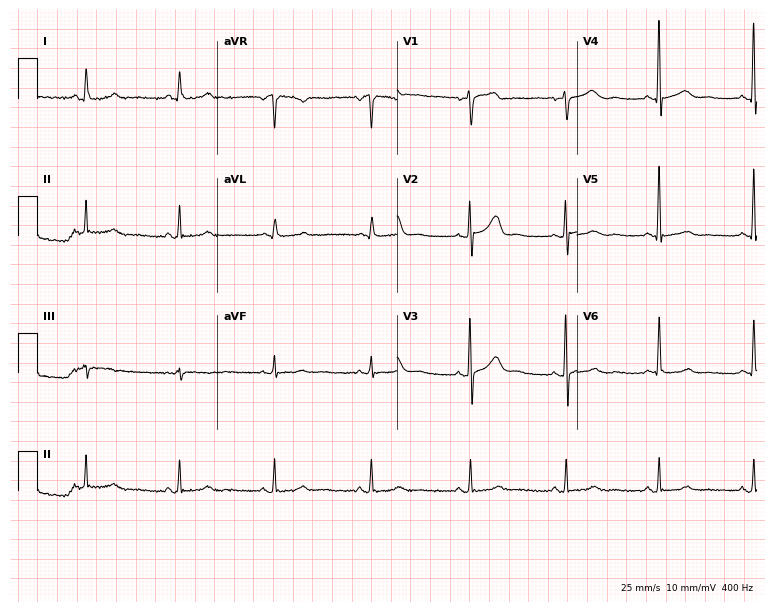
Electrocardiogram, a female, 56 years old. Overall reading on record: normal ECG.